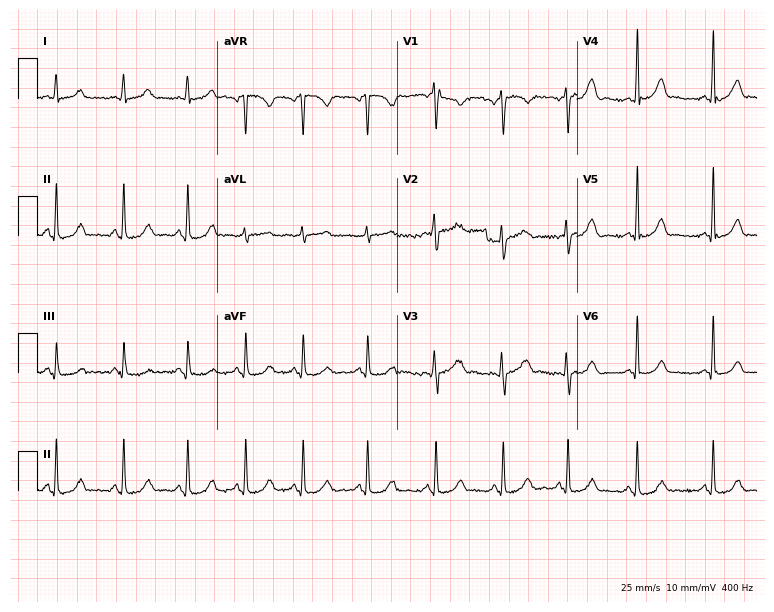
ECG — a 37-year-old woman. Labelled as a normal ECG.